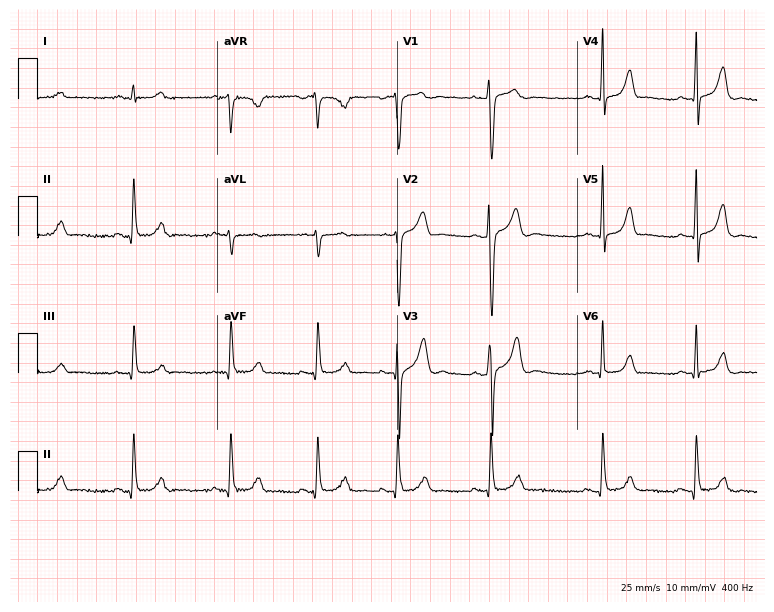
ECG (7.3-second recording at 400 Hz) — a 32-year-old male patient. Labelled as a normal ECG.